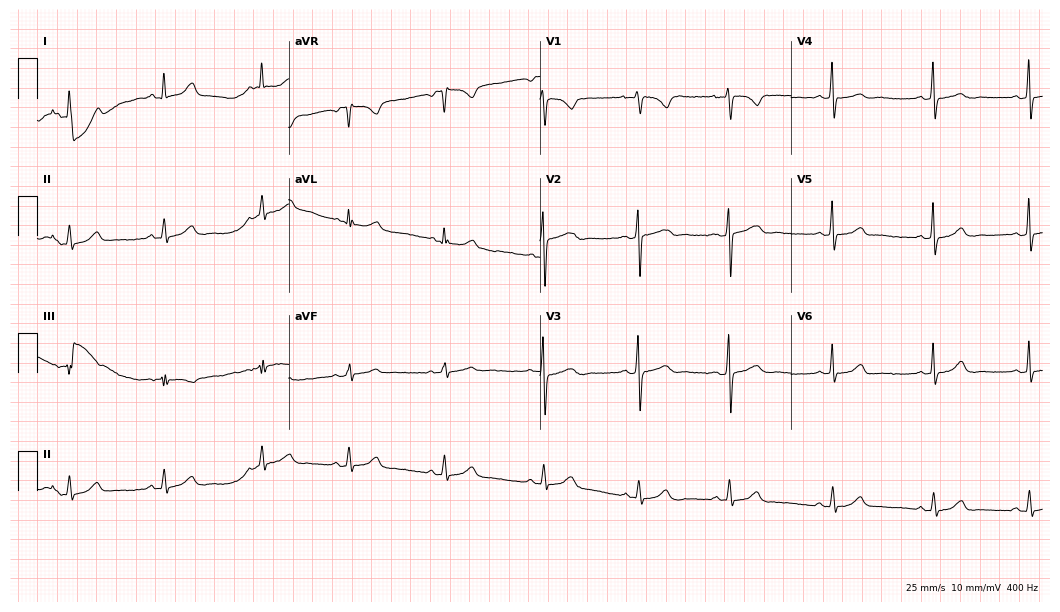
Electrocardiogram, a 19-year-old female. Of the six screened findings (first-degree AV block, right bundle branch block (RBBB), left bundle branch block (LBBB), sinus bradycardia, atrial fibrillation (AF), sinus tachycardia), none is recorded. Findings outside these six are not listed.